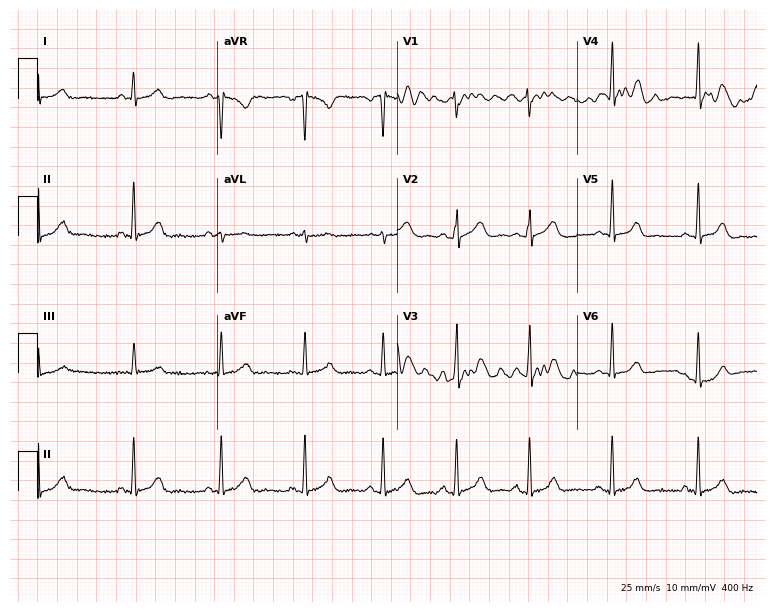
Resting 12-lead electrocardiogram (7.3-second recording at 400 Hz). Patient: a 20-year-old female. Read as a normal ECG.